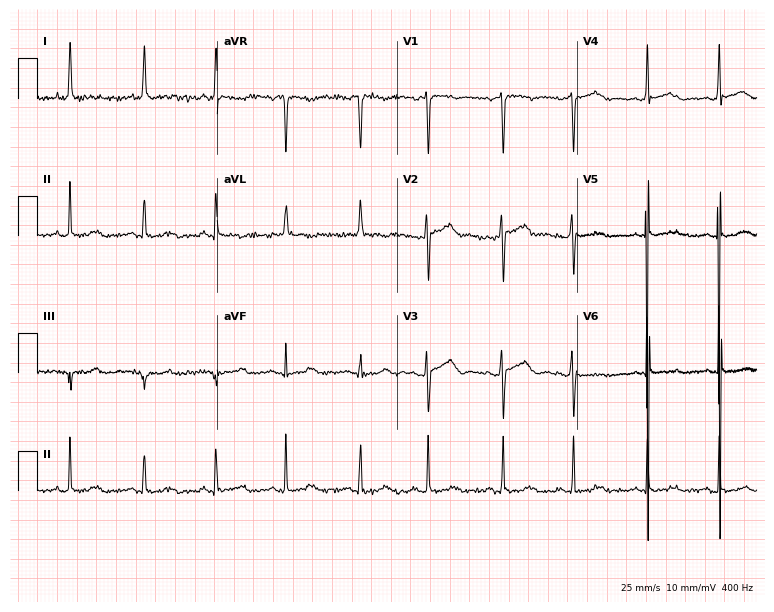
Standard 12-lead ECG recorded from a female, 81 years old. None of these six findings is recorded: first-degree AV block, right bundle branch block (RBBB), left bundle branch block (LBBB), sinus bradycardia, atrial fibrillation (AF), sinus tachycardia.